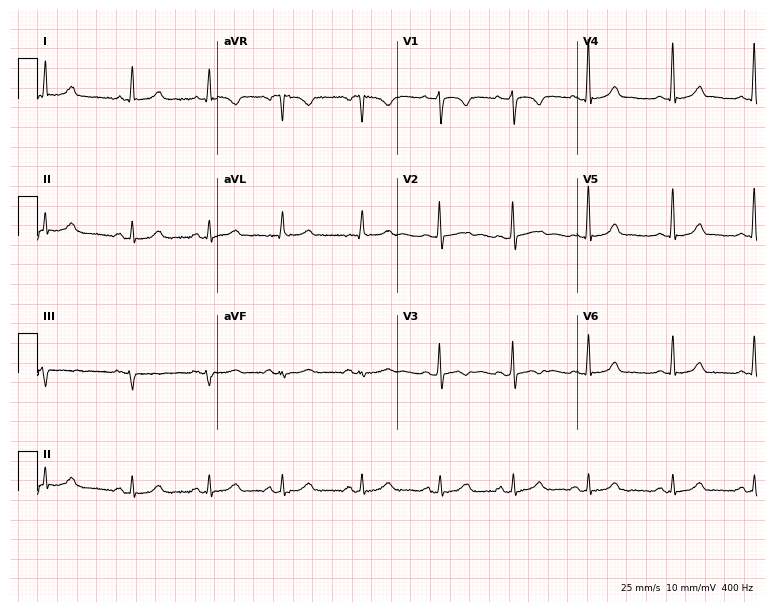
12-lead ECG from a female patient, 28 years old. Labelled as a normal ECG.